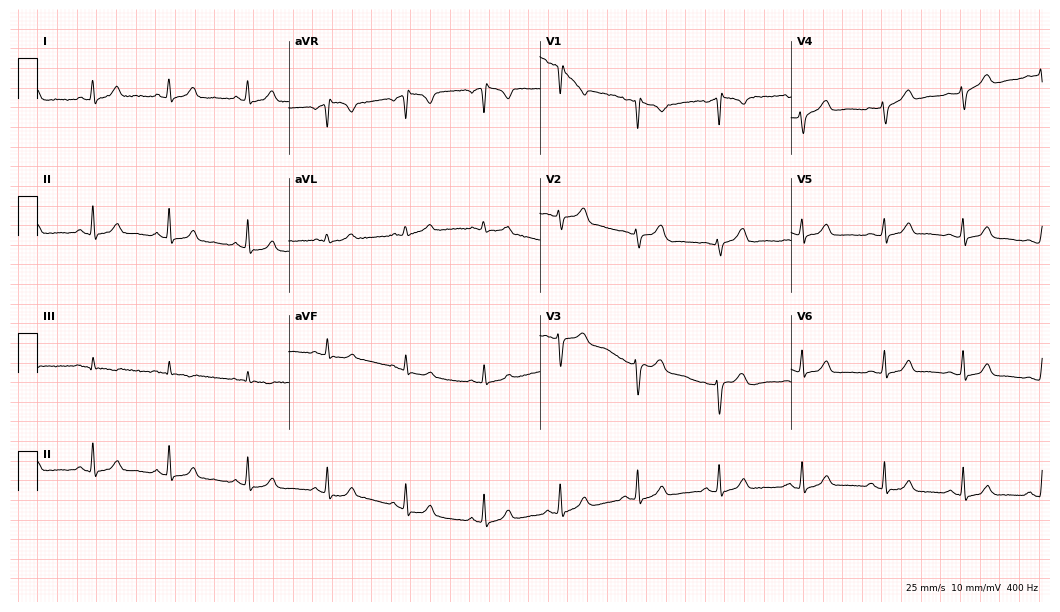
12-lead ECG from a female patient, 34 years old (10.2-second recording at 400 Hz). Recorded interpretation: within normal limits.